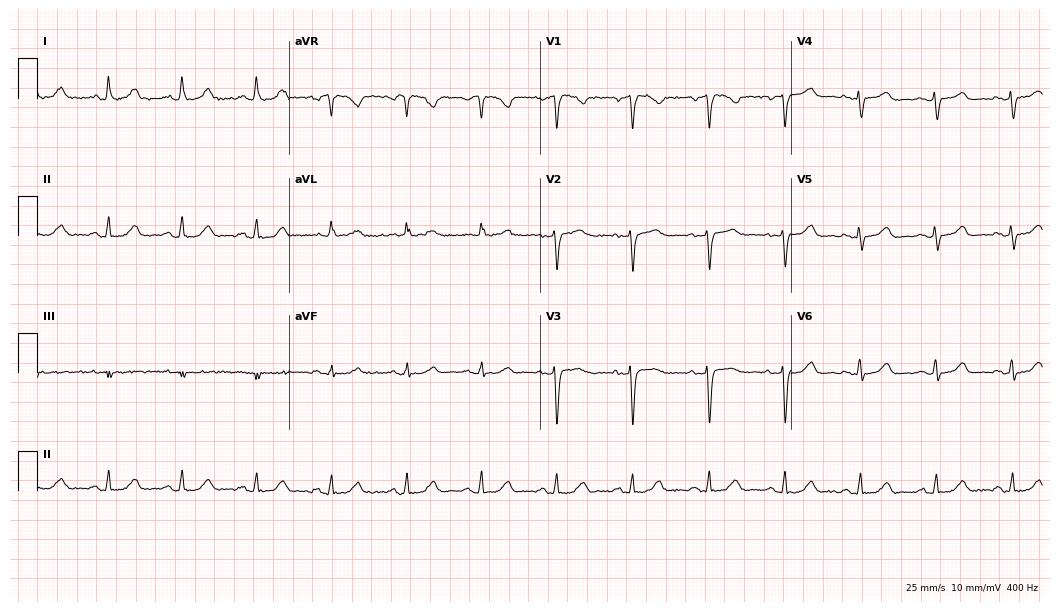
Resting 12-lead electrocardiogram (10.2-second recording at 400 Hz). Patient: a 59-year-old woman. None of these six findings is recorded: first-degree AV block, right bundle branch block, left bundle branch block, sinus bradycardia, atrial fibrillation, sinus tachycardia.